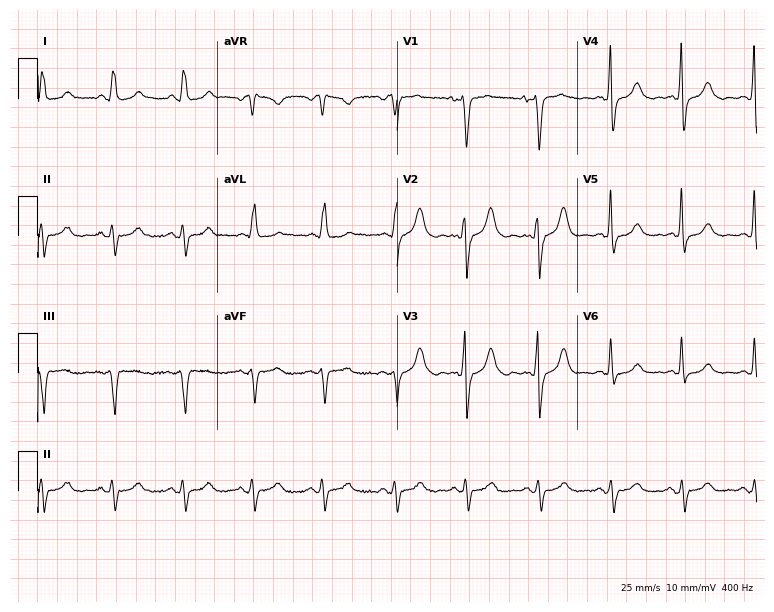
ECG — a female patient, 51 years old. Screened for six findings — first-degree AV block, right bundle branch block, left bundle branch block, sinus bradycardia, atrial fibrillation, sinus tachycardia — none is recorded. Other findings, if any, are not listed.